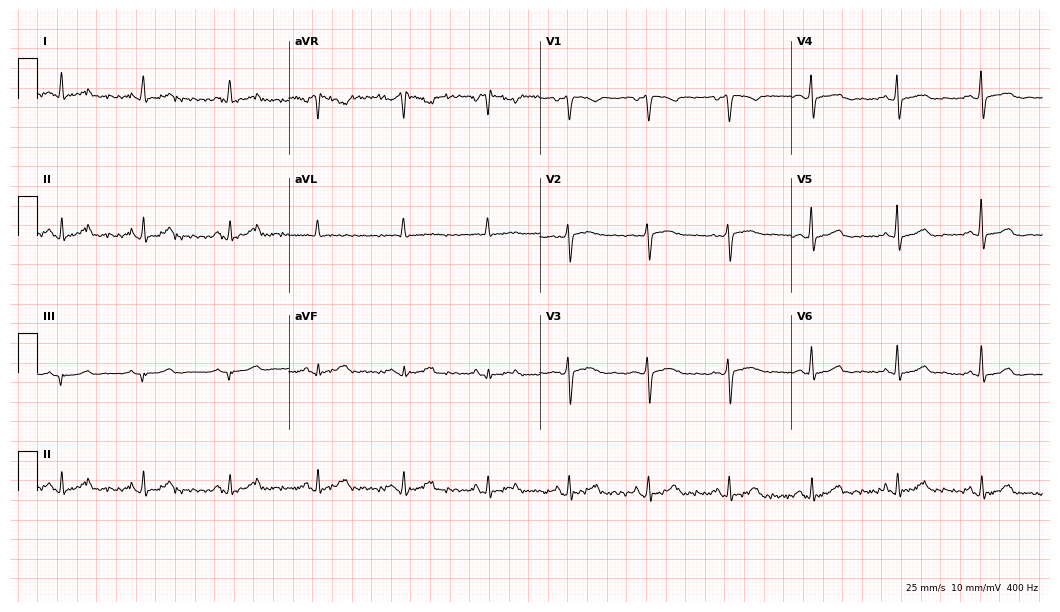
Electrocardiogram, a 49-year-old female patient. Overall reading on record: normal ECG.